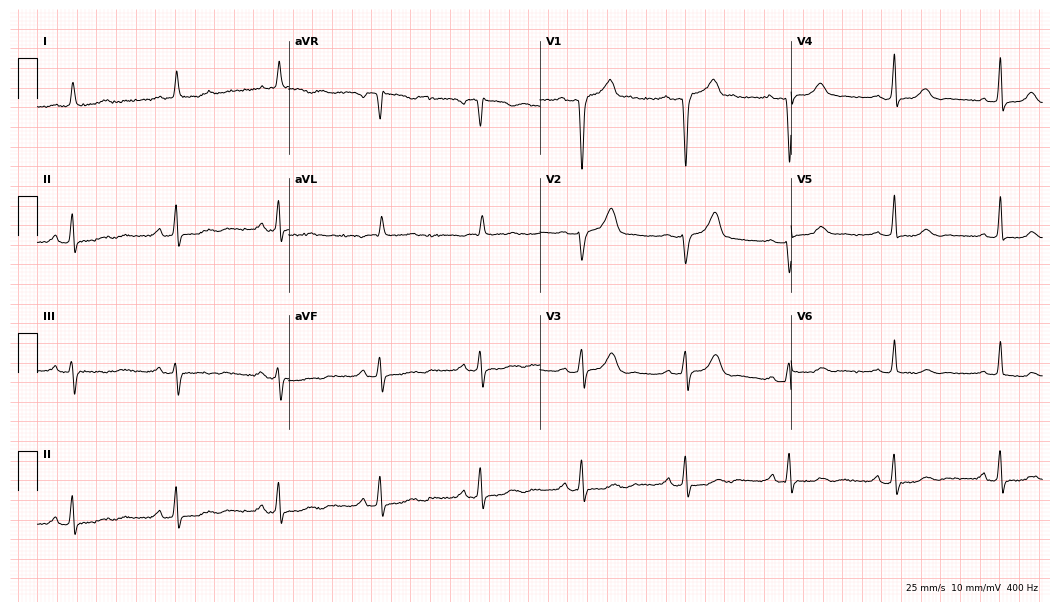
12-lead ECG from a 72-year-old man. No first-degree AV block, right bundle branch block (RBBB), left bundle branch block (LBBB), sinus bradycardia, atrial fibrillation (AF) or sinus tachycardia recorded for this tracing.